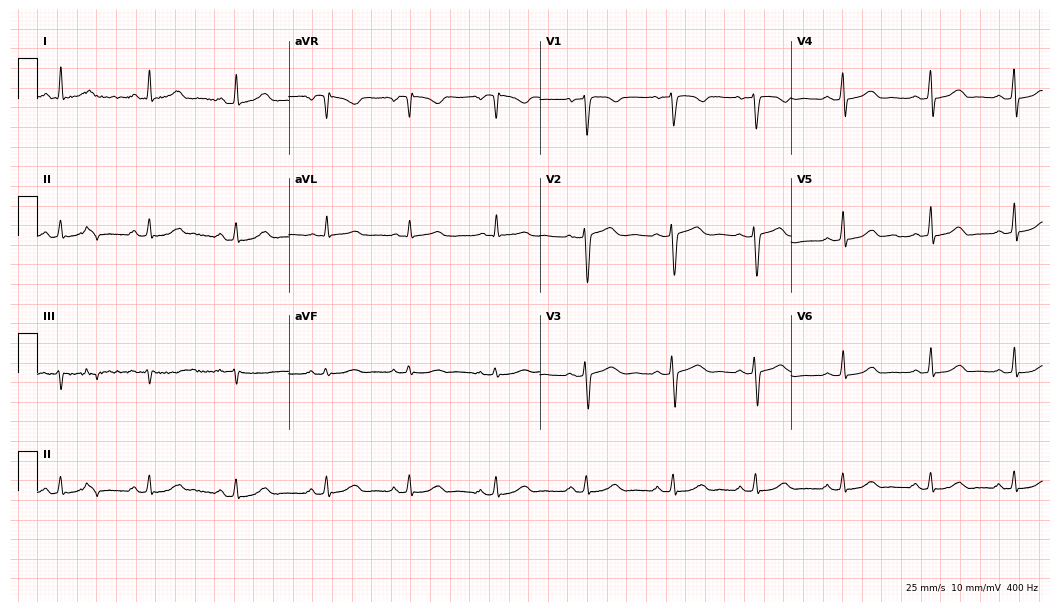
Electrocardiogram (10.2-second recording at 400 Hz), a woman, 31 years old. Of the six screened findings (first-degree AV block, right bundle branch block, left bundle branch block, sinus bradycardia, atrial fibrillation, sinus tachycardia), none is recorded.